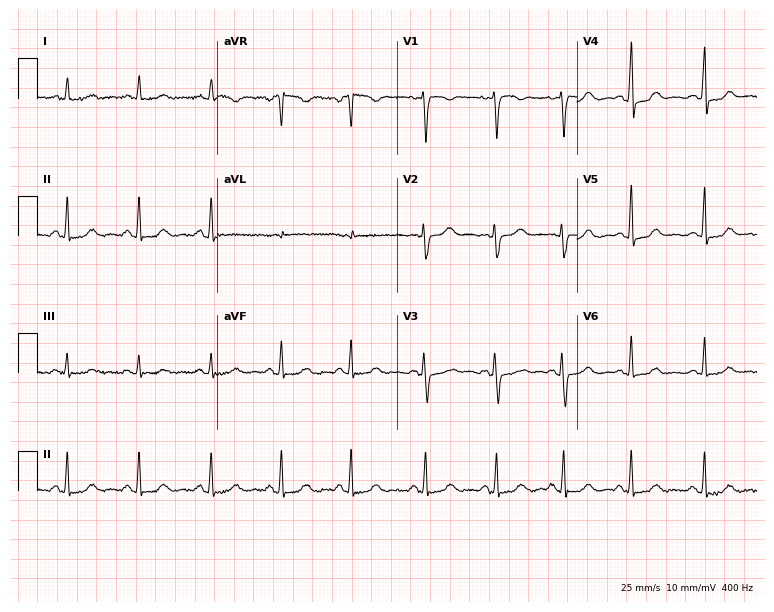
Electrocardiogram (7.3-second recording at 400 Hz), a 40-year-old female. Overall reading on record: normal ECG.